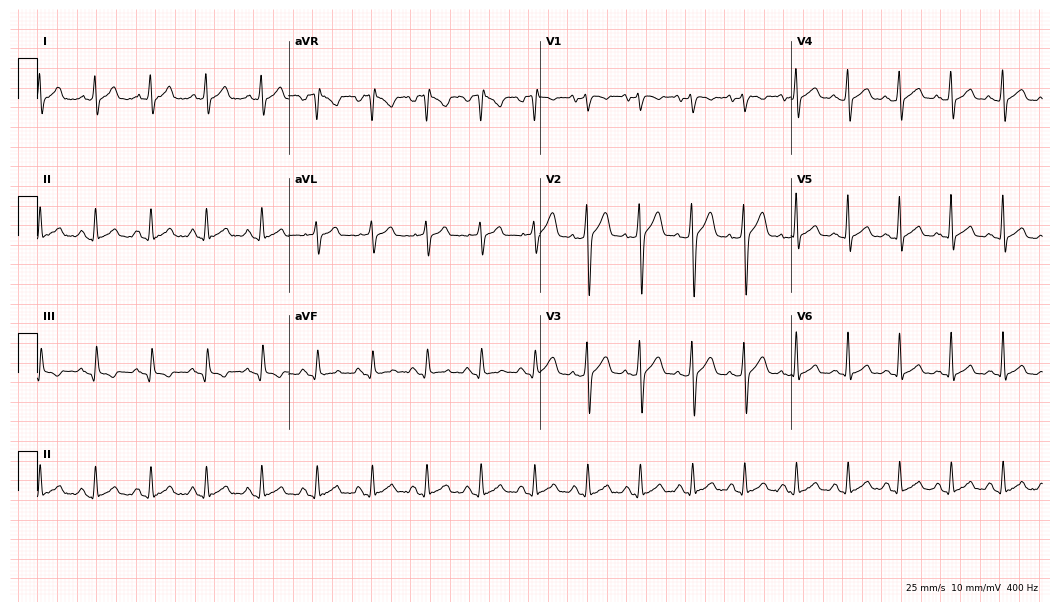
Electrocardiogram (10.2-second recording at 400 Hz), a 31-year-old male patient. Interpretation includes sinus tachycardia (a sinus rate of 100 beats per minute or more).